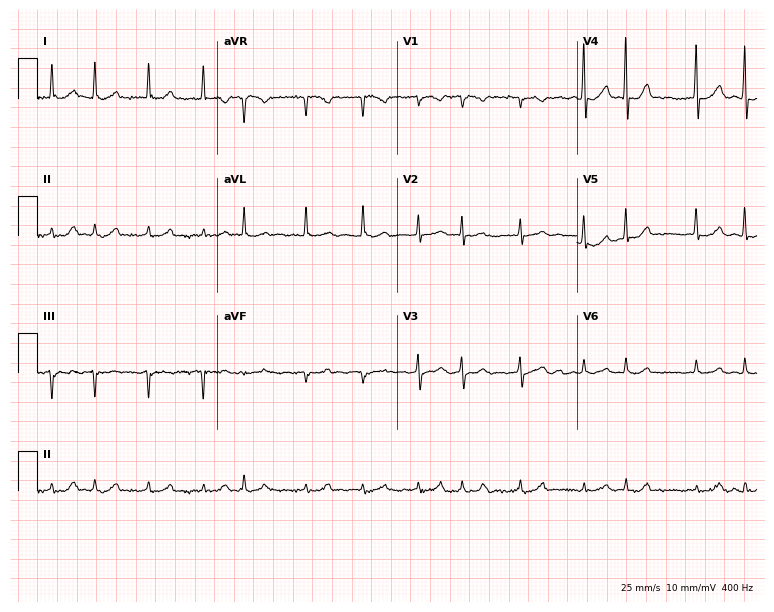
12-lead ECG from a 78-year-old female patient. Shows atrial fibrillation, sinus tachycardia (a sinus rate of 100 beats per minute or more).